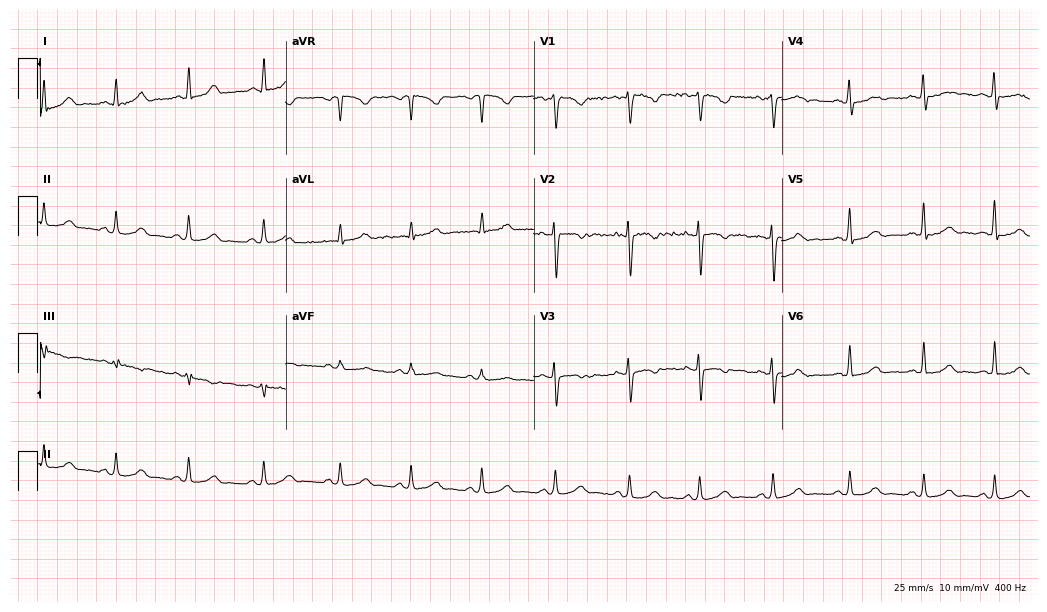
ECG (10.1-second recording at 400 Hz) — a 36-year-old female patient. Labelled as a normal ECG.